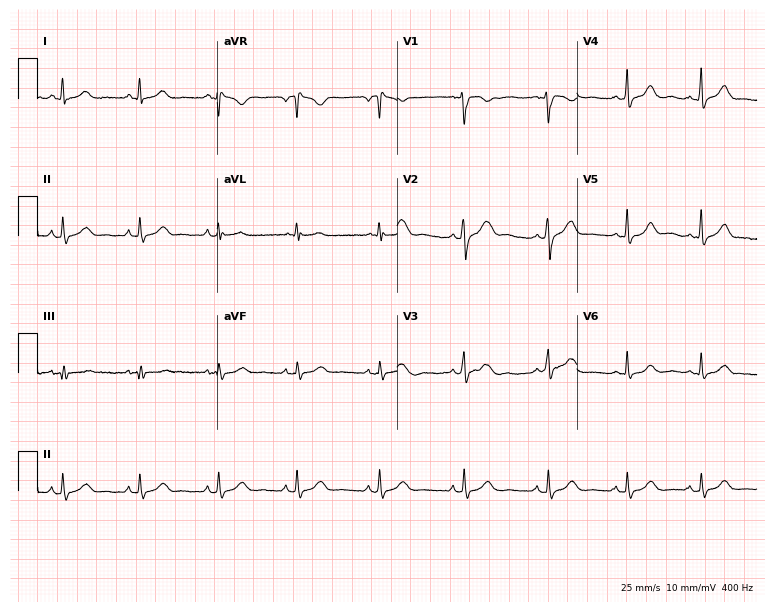
Electrocardiogram (7.3-second recording at 400 Hz), a female, 41 years old. Overall reading on record: normal ECG.